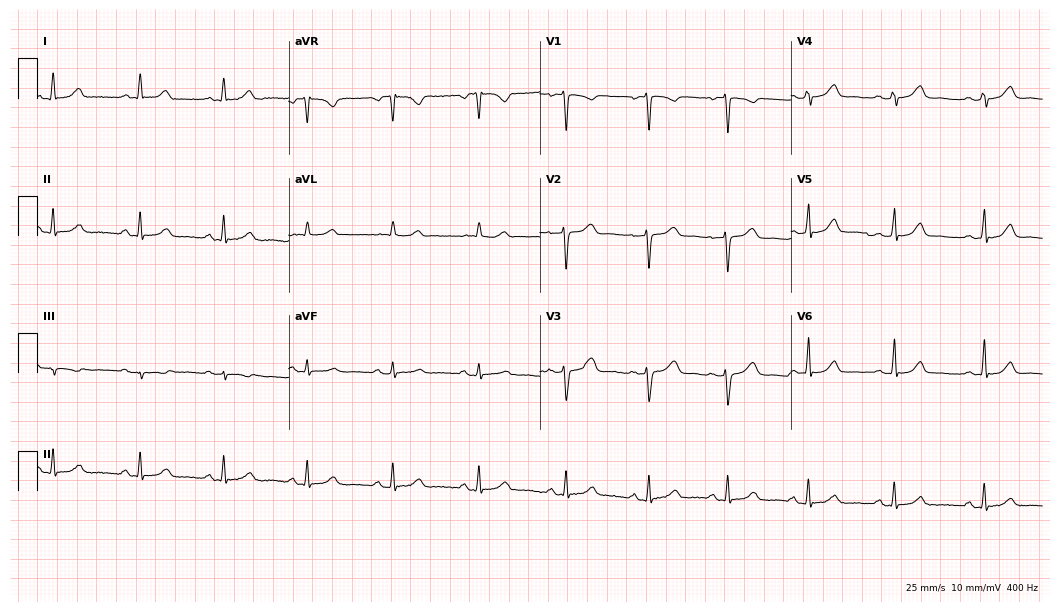
Resting 12-lead electrocardiogram (10.2-second recording at 400 Hz). Patient: a 34-year-old woman. Read as a normal ECG.